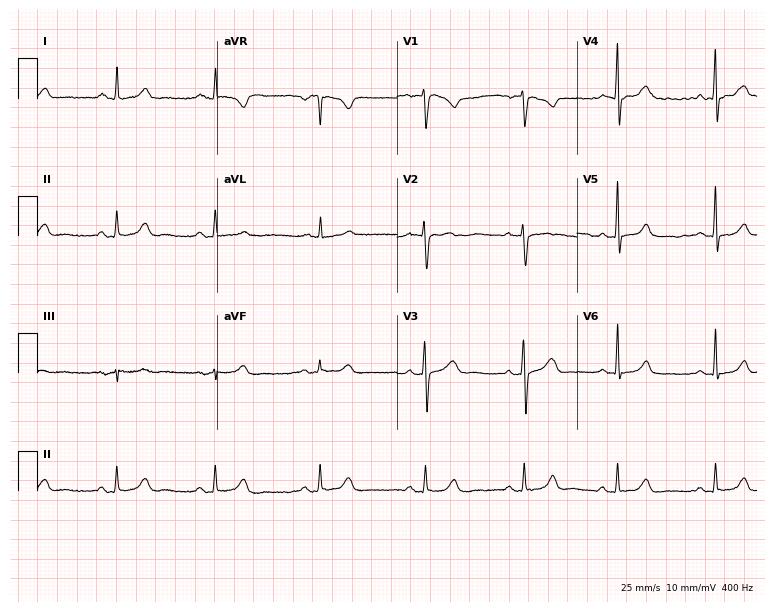
Standard 12-lead ECG recorded from a 35-year-old female patient (7.3-second recording at 400 Hz). Read as a normal ECG.